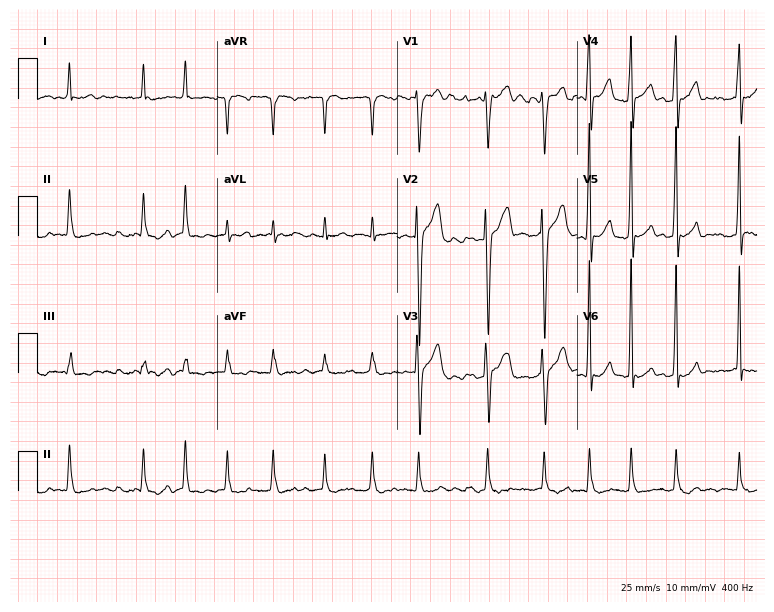
12-lead ECG from a man, 49 years old (7.3-second recording at 400 Hz). Shows atrial fibrillation (AF).